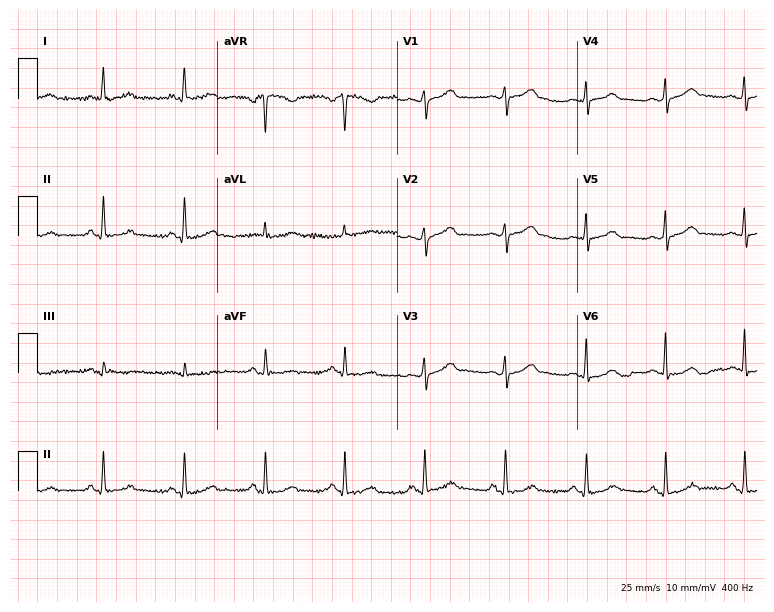
ECG (7.3-second recording at 400 Hz) — a male, 72 years old. Labelled as a normal ECG.